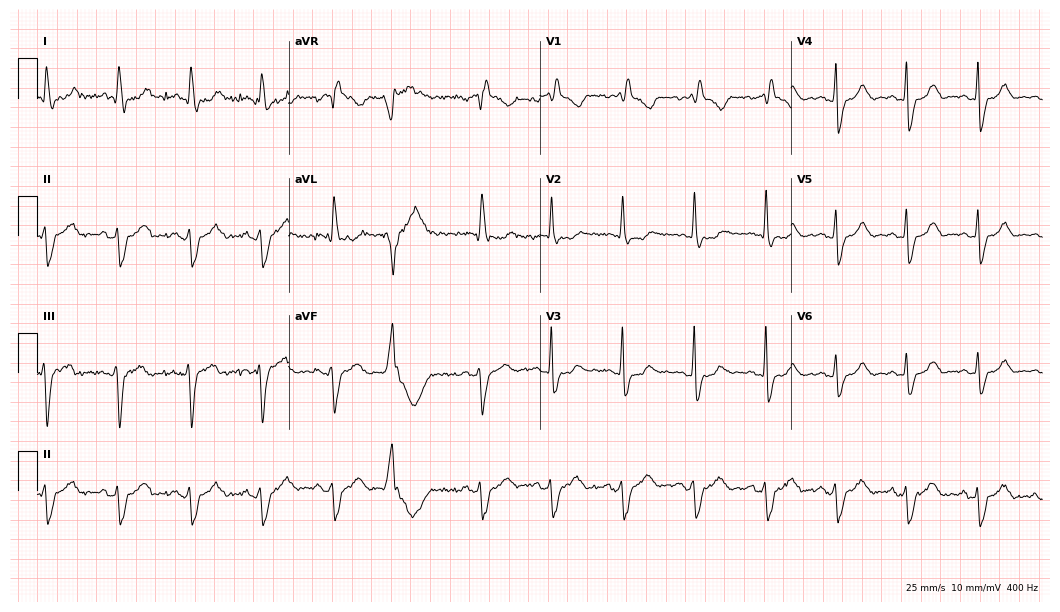
ECG (10.2-second recording at 400 Hz) — a woman, 44 years old. Findings include right bundle branch block.